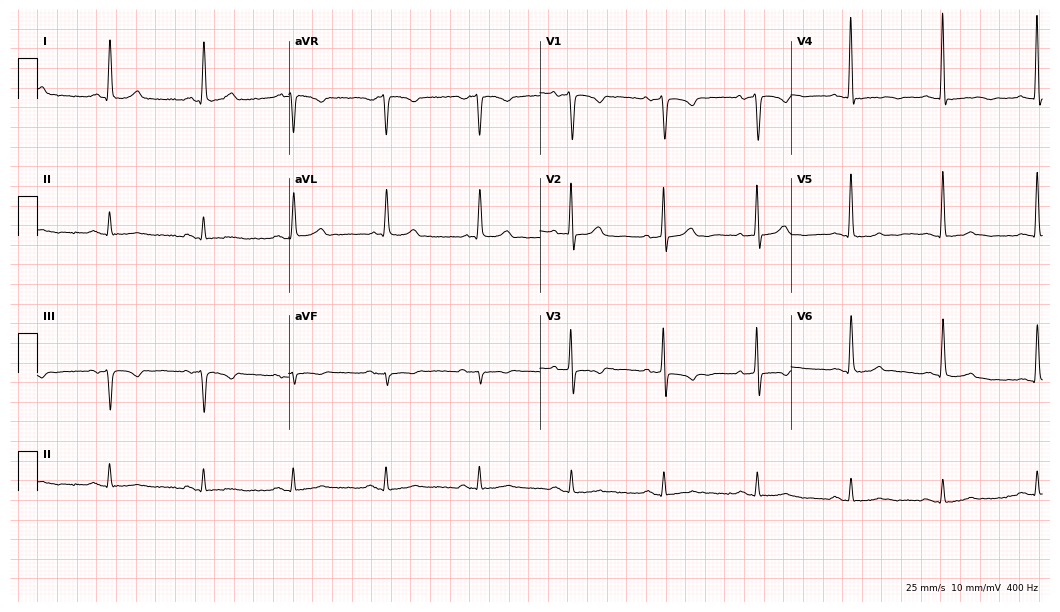
12-lead ECG (10.2-second recording at 400 Hz) from a female patient, 67 years old. Screened for six findings — first-degree AV block, right bundle branch block, left bundle branch block, sinus bradycardia, atrial fibrillation, sinus tachycardia — none is recorded. Only these six findings were labelled.